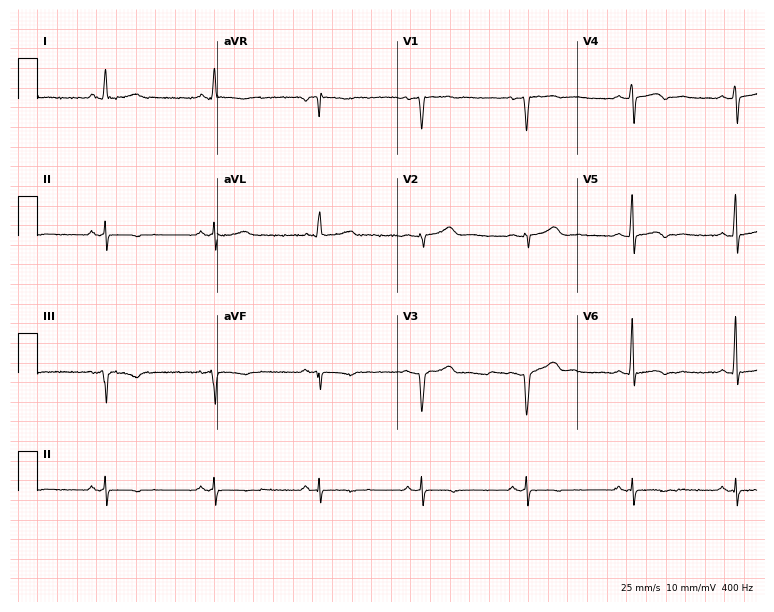
12-lead ECG from a 54-year-old female patient. Recorded interpretation: within normal limits.